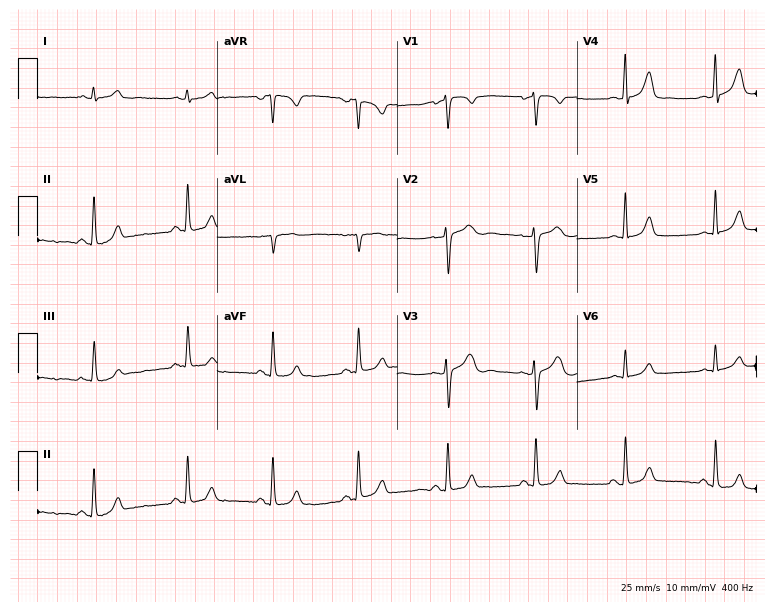
Standard 12-lead ECG recorded from a female, 38 years old. None of these six findings is recorded: first-degree AV block, right bundle branch block, left bundle branch block, sinus bradycardia, atrial fibrillation, sinus tachycardia. Findings outside these six are not listed.